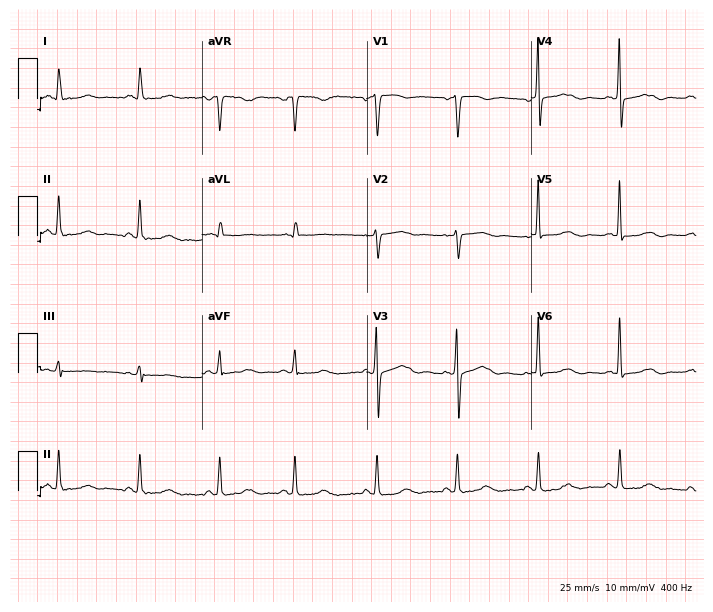
12-lead ECG from a 71-year-old woman. Screened for six findings — first-degree AV block, right bundle branch block, left bundle branch block, sinus bradycardia, atrial fibrillation, sinus tachycardia — none is recorded. Only these six findings were labelled.